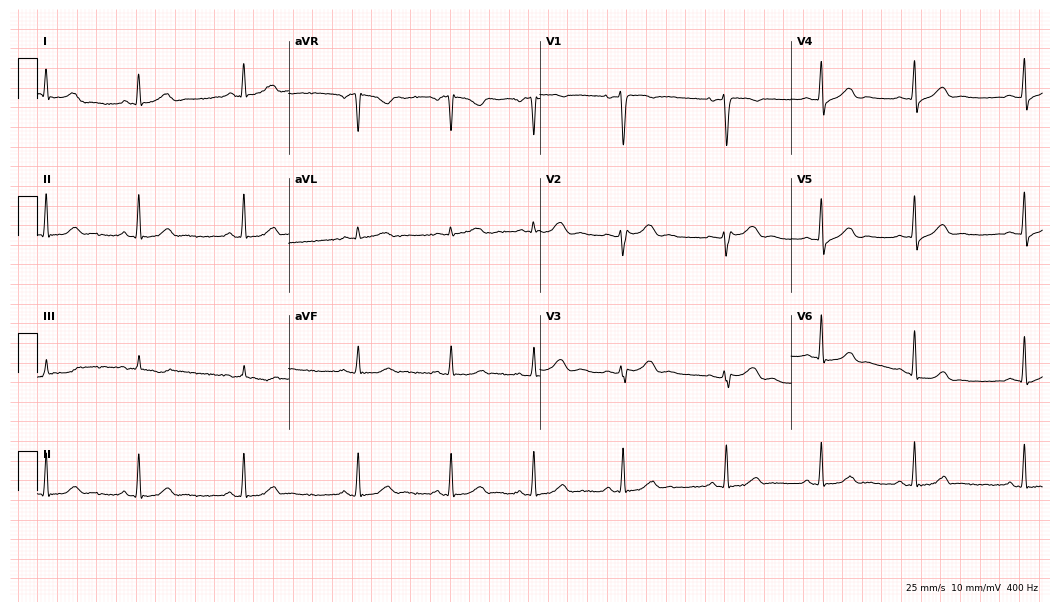
Electrocardiogram (10.2-second recording at 400 Hz), a 38-year-old female patient. Of the six screened findings (first-degree AV block, right bundle branch block, left bundle branch block, sinus bradycardia, atrial fibrillation, sinus tachycardia), none is recorded. Only these six findings were labelled.